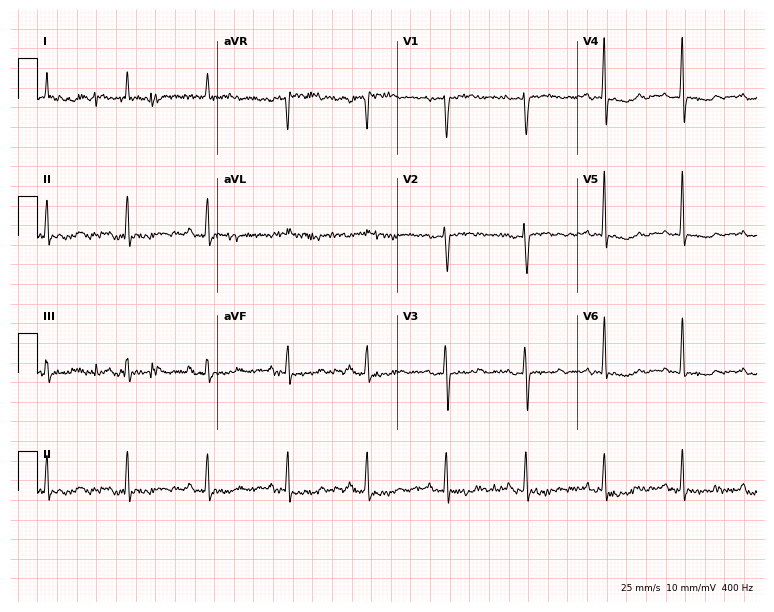
ECG — a 72-year-old woman. Screened for six findings — first-degree AV block, right bundle branch block, left bundle branch block, sinus bradycardia, atrial fibrillation, sinus tachycardia — none is recorded. Findings outside these six are not listed.